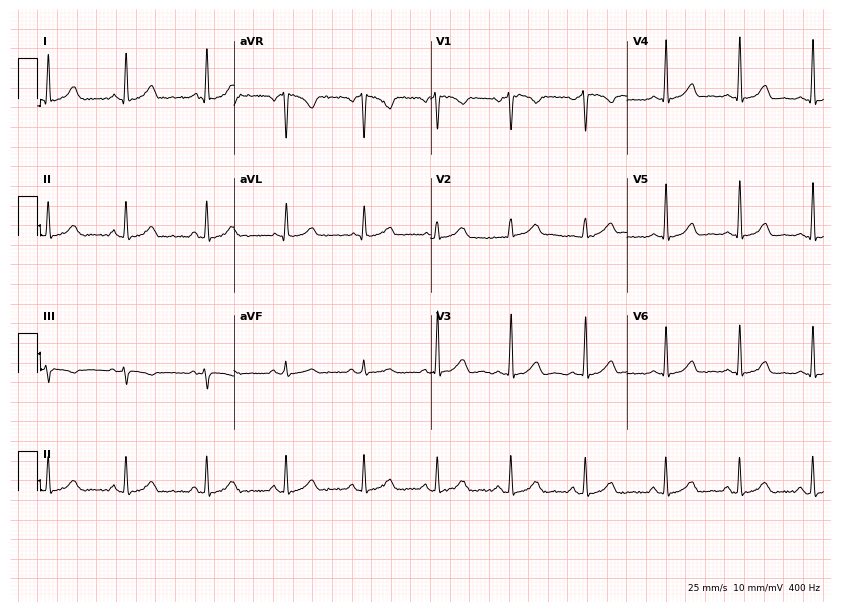
12-lead ECG from a 37-year-old woman. Labelled as a normal ECG.